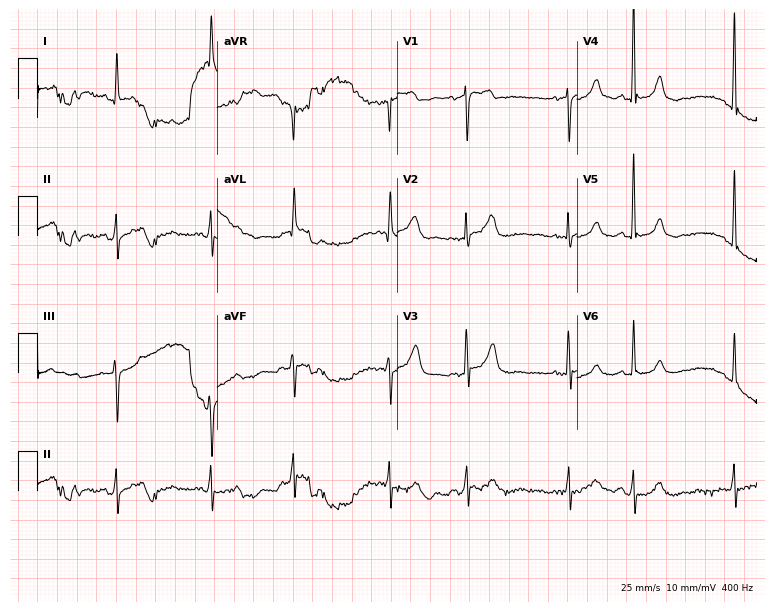
Resting 12-lead electrocardiogram (7.3-second recording at 400 Hz). Patient: a male, 80 years old. Read as a normal ECG.